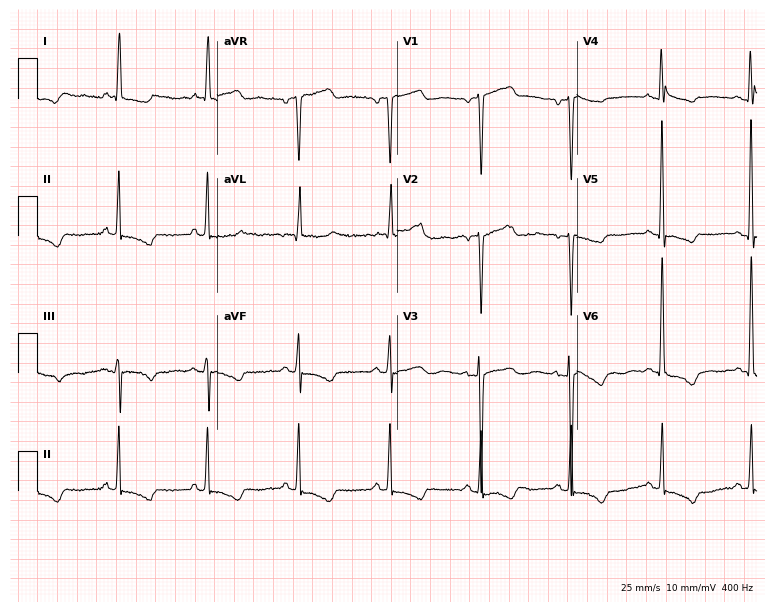
12-lead ECG from an 81-year-old female patient. No first-degree AV block, right bundle branch block (RBBB), left bundle branch block (LBBB), sinus bradycardia, atrial fibrillation (AF) or sinus tachycardia recorded for this tracing. Only these six findings were labelled.